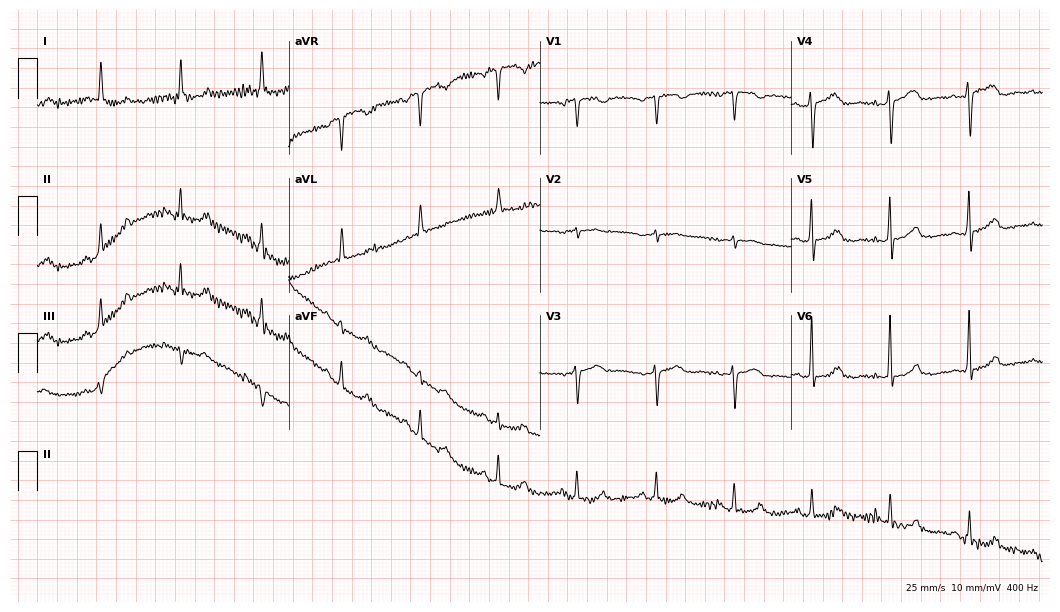
12-lead ECG from a 70-year-old female. Screened for six findings — first-degree AV block, right bundle branch block, left bundle branch block, sinus bradycardia, atrial fibrillation, sinus tachycardia — none is recorded. Only these six findings were labelled.